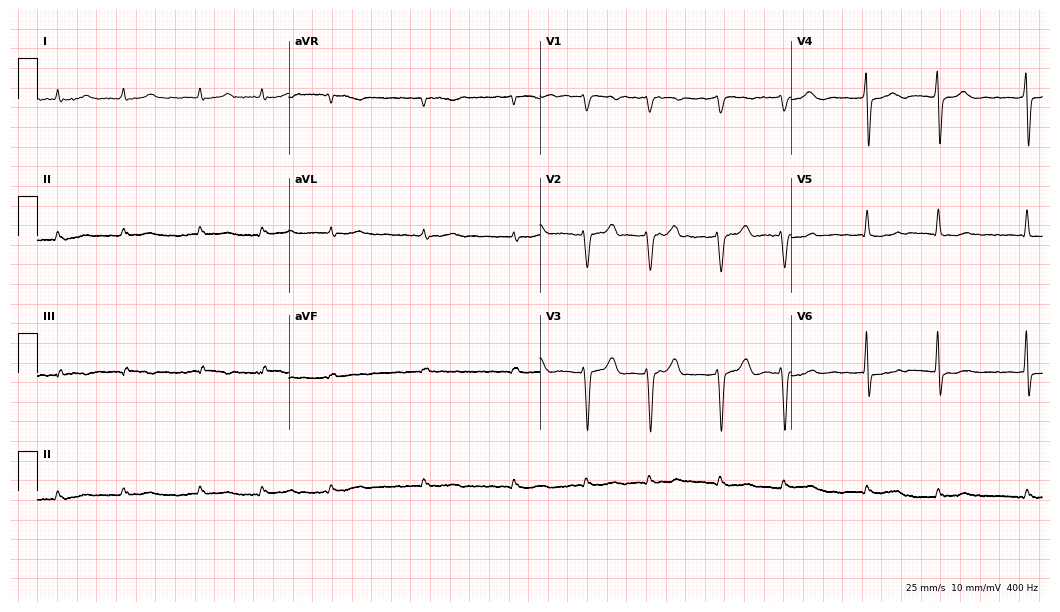
Resting 12-lead electrocardiogram (10.2-second recording at 400 Hz). Patient: a male, 75 years old. The tracing shows atrial fibrillation.